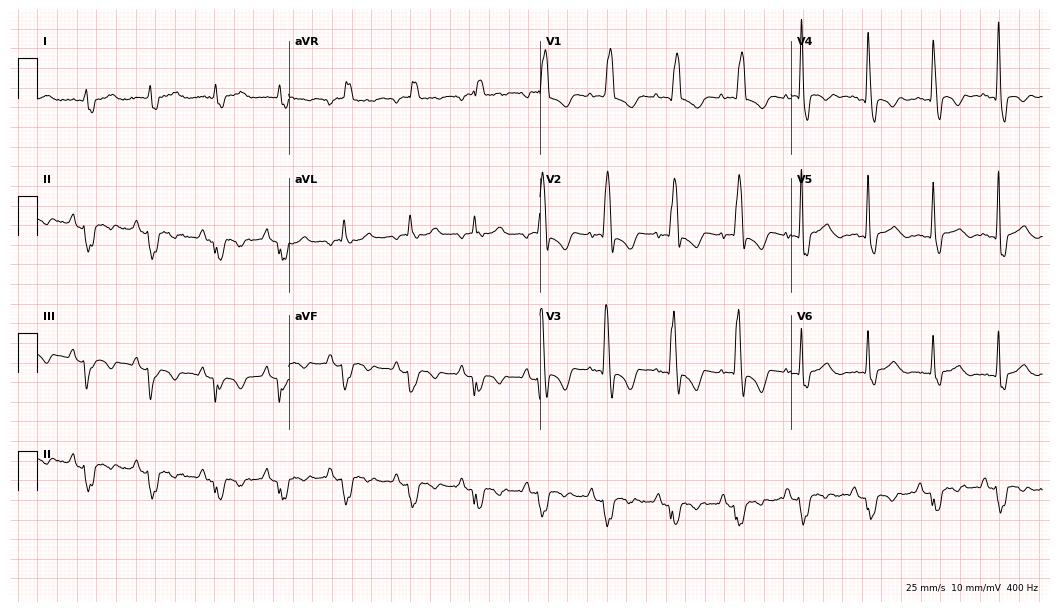
ECG (10.2-second recording at 400 Hz) — a female, 68 years old. Findings include right bundle branch block (RBBB).